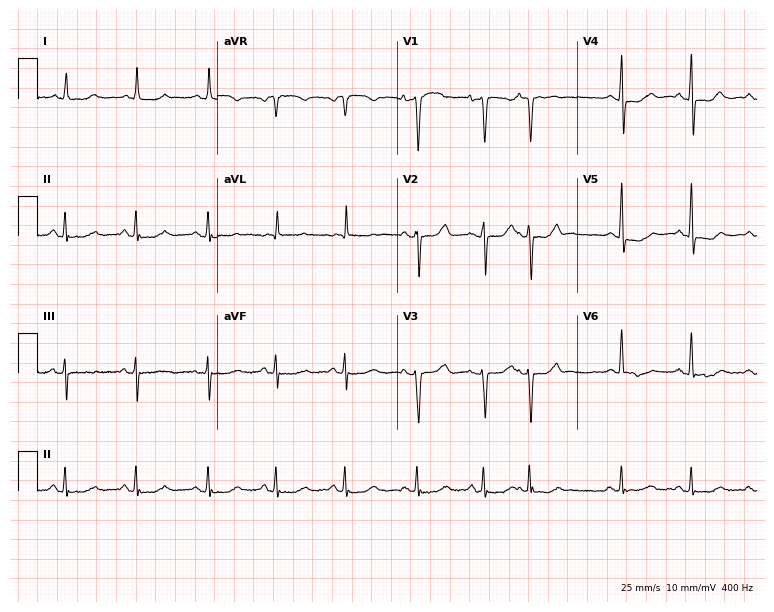
Resting 12-lead electrocardiogram. Patient: a female, 51 years old. None of these six findings is recorded: first-degree AV block, right bundle branch block, left bundle branch block, sinus bradycardia, atrial fibrillation, sinus tachycardia.